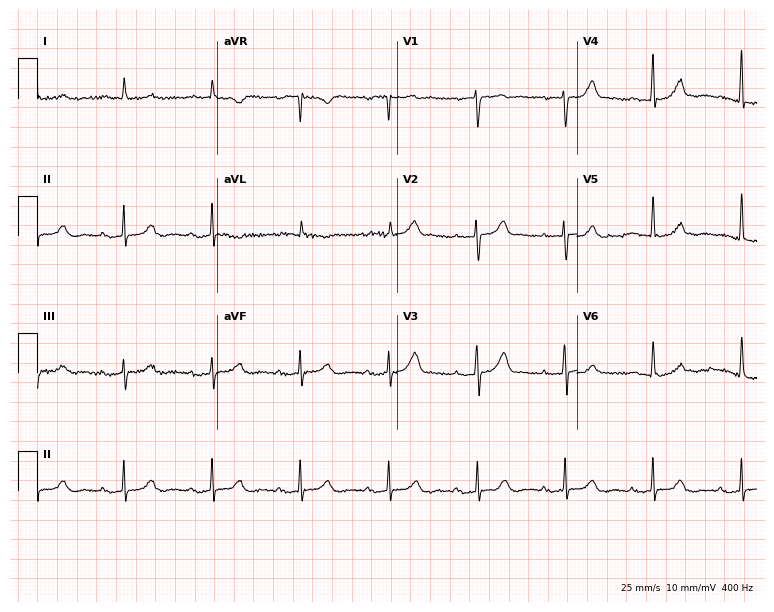
12-lead ECG (7.3-second recording at 400 Hz) from an 83-year-old male patient. Screened for six findings — first-degree AV block, right bundle branch block, left bundle branch block, sinus bradycardia, atrial fibrillation, sinus tachycardia — none is recorded.